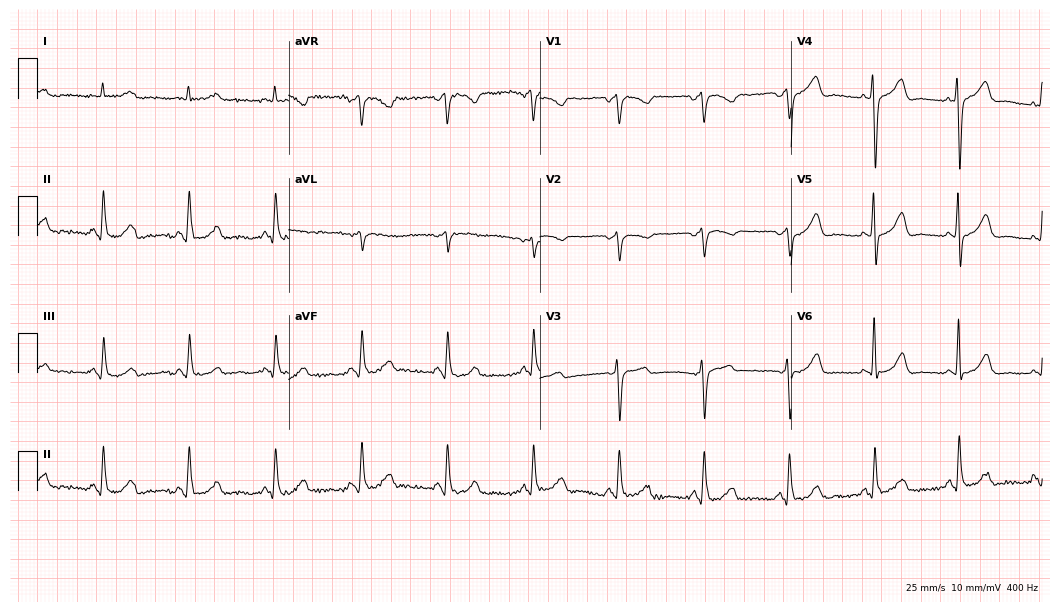
Electrocardiogram (10.2-second recording at 400 Hz), a male patient, 64 years old. Of the six screened findings (first-degree AV block, right bundle branch block (RBBB), left bundle branch block (LBBB), sinus bradycardia, atrial fibrillation (AF), sinus tachycardia), none is recorded. Only these six findings were labelled.